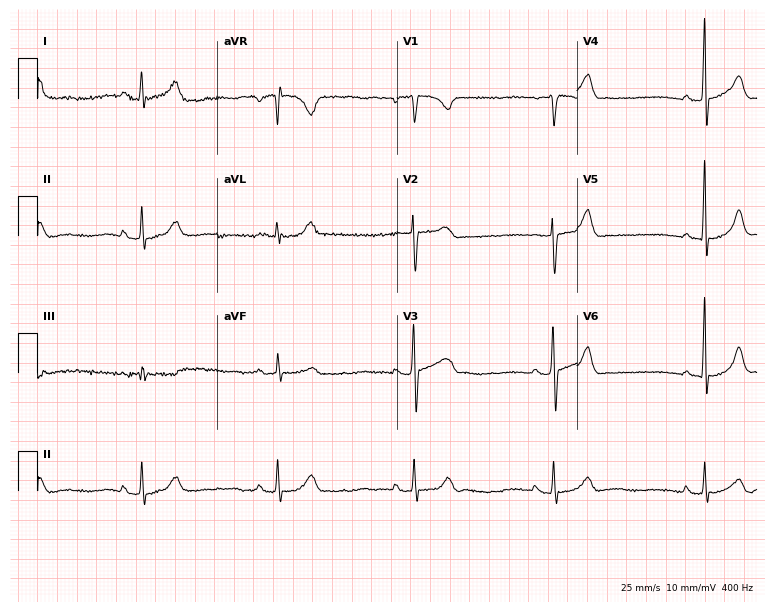
Standard 12-lead ECG recorded from a 27-year-old female (7.3-second recording at 400 Hz). The tracing shows sinus bradycardia (a sinus rate of 50 beats per minute or less).